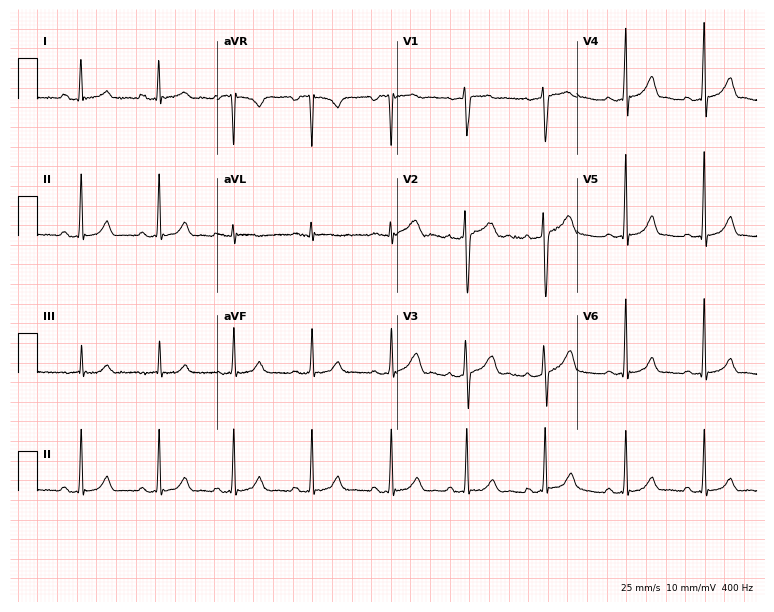
Resting 12-lead electrocardiogram. Patient: a 23-year-old woman. None of these six findings is recorded: first-degree AV block, right bundle branch block, left bundle branch block, sinus bradycardia, atrial fibrillation, sinus tachycardia.